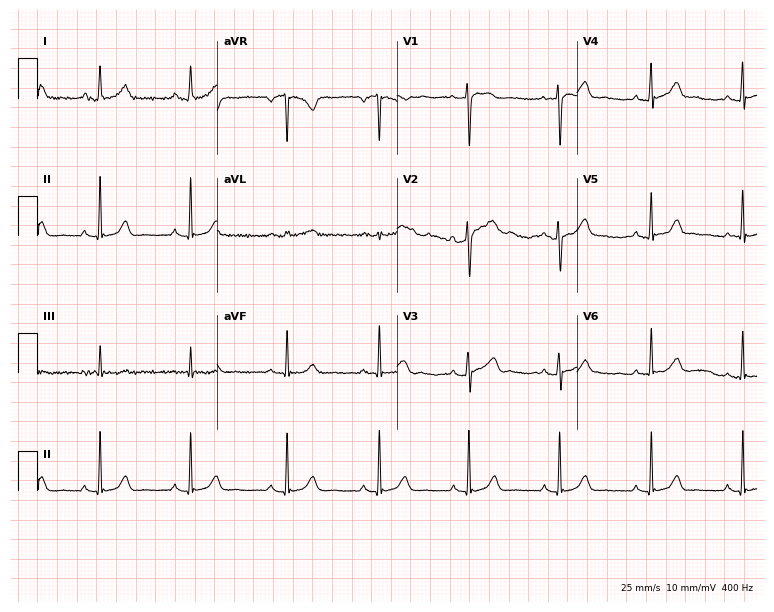
ECG — a woman, 41 years old. Labelled as a normal ECG.